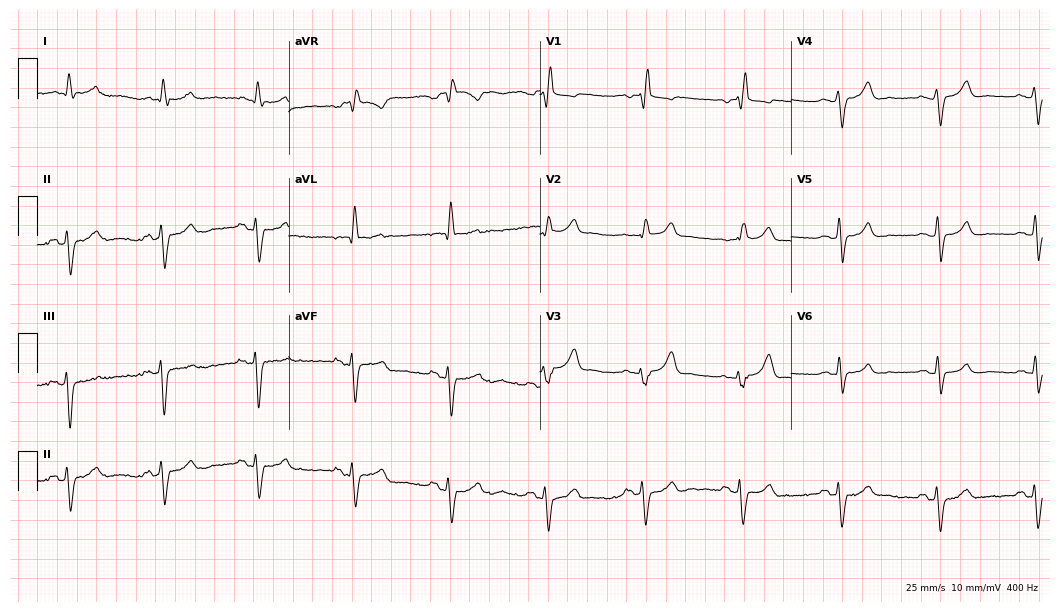
Standard 12-lead ECG recorded from a man, 69 years old (10.2-second recording at 400 Hz). None of these six findings is recorded: first-degree AV block, right bundle branch block, left bundle branch block, sinus bradycardia, atrial fibrillation, sinus tachycardia.